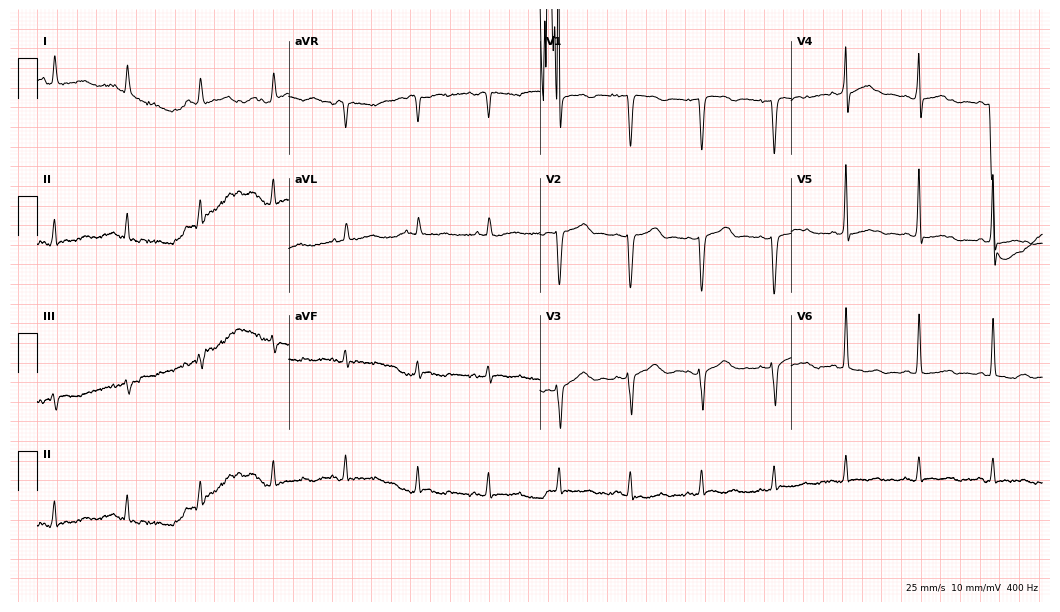
Resting 12-lead electrocardiogram. Patient: a 65-year-old man. None of these six findings is recorded: first-degree AV block, right bundle branch block, left bundle branch block, sinus bradycardia, atrial fibrillation, sinus tachycardia. Other findings, if any, are not listed.